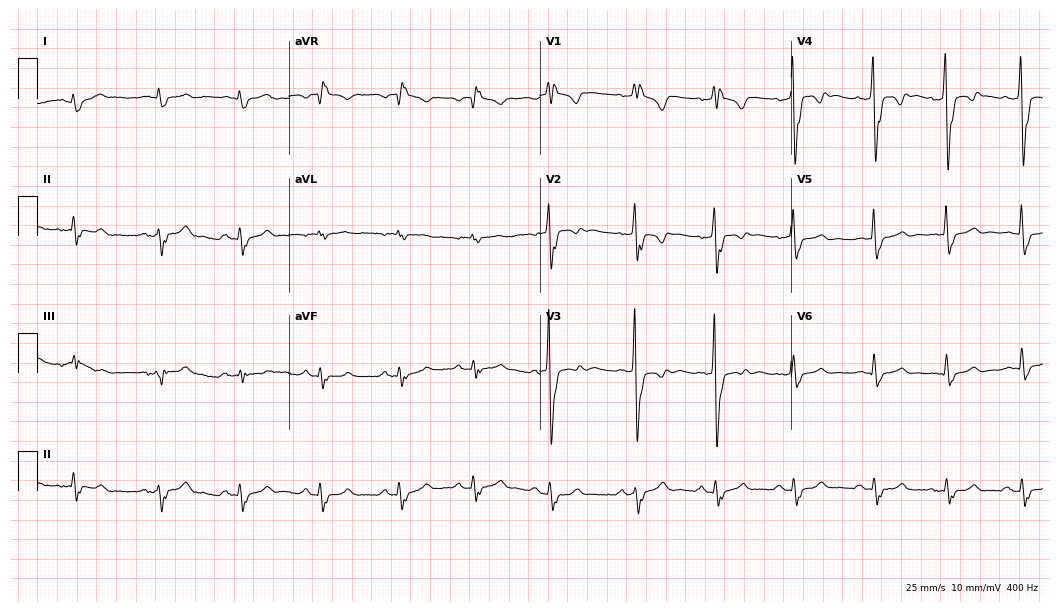
Resting 12-lead electrocardiogram (10.2-second recording at 400 Hz). Patient: a man, 76 years old. The tracing shows right bundle branch block.